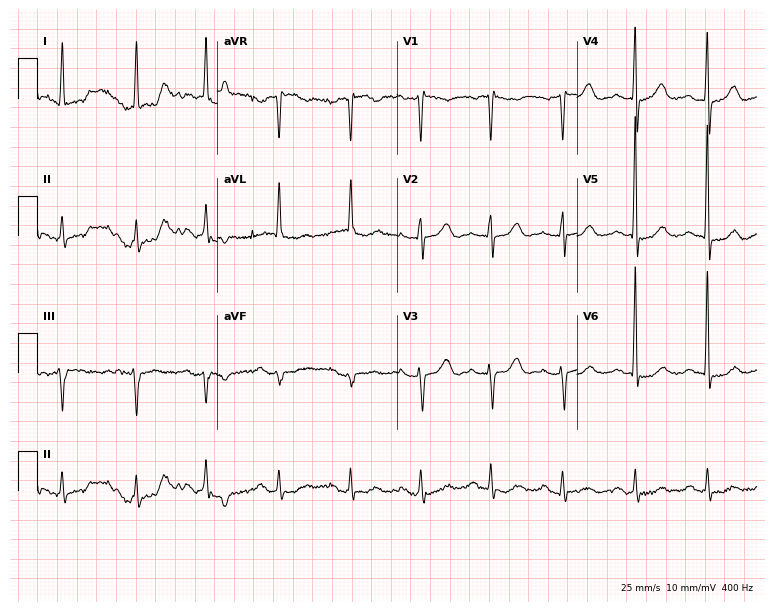
12-lead ECG from an 81-year-old female. No first-degree AV block, right bundle branch block, left bundle branch block, sinus bradycardia, atrial fibrillation or sinus tachycardia recorded for this tracing. Findings outside these six are not listed.